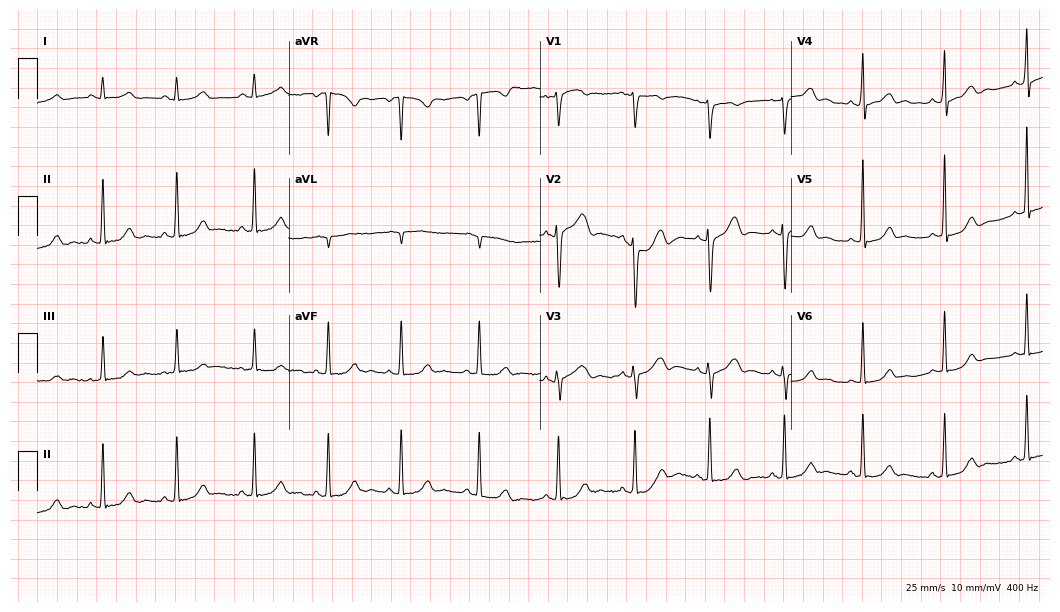
Standard 12-lead ECG recorded from a 32-year-old woman (10.2-second recording at 400 Hz). Read as a normal ECG.